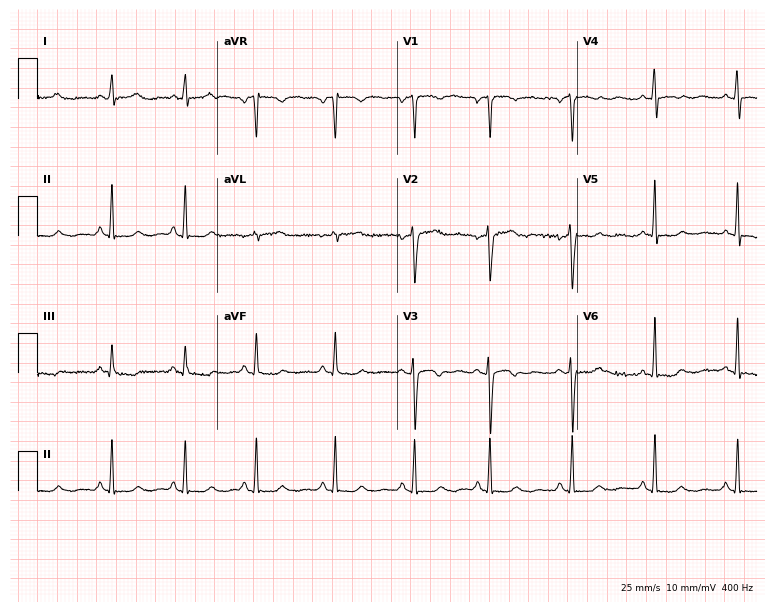
Resting 12-lead electrocardiogram. Patient: a 32-year-old female. None of these six findings is recorded: first-degree AV block, right bundle branch block, left bundle branch block, sinus bradycardia, atrial fibrillation, sinus tachycardia.